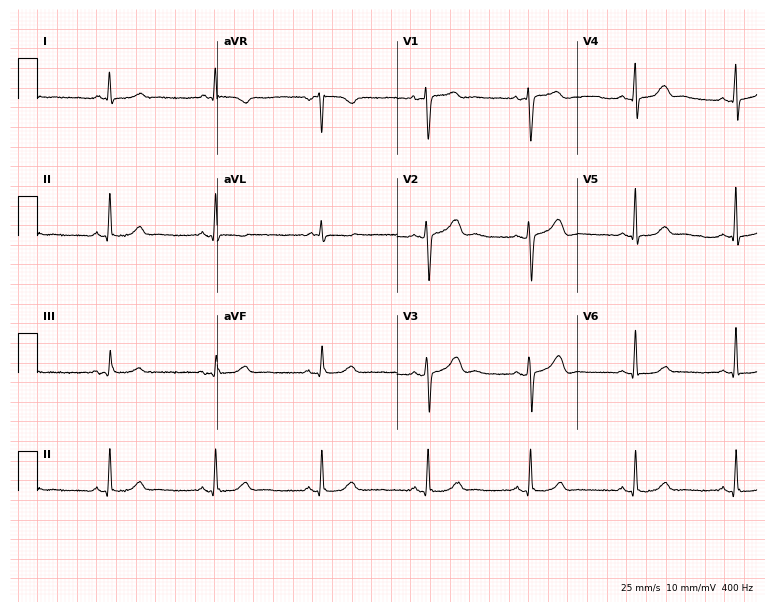
Resting 12-lead electrocardiogram (7.3-second recording at 400 Hz). Patient: a female, 43 years old. Read as a normal ECG.